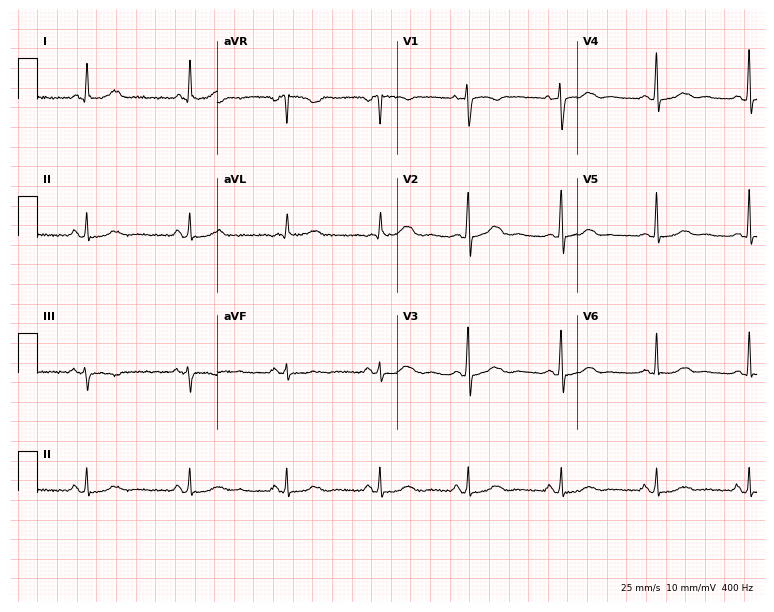
12-lead ECG (7.3-second recording at 400 Hz) from a female patient, 51 years old. Labelled as a normal ECG.